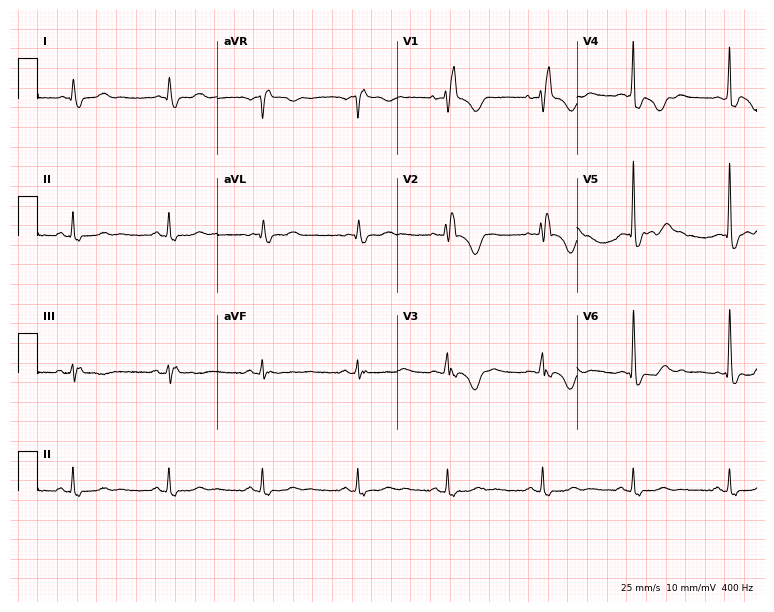
Resting 12-lead electrocardiogram (7.3-second recording at 400 Hz). Patient: a 57-year-old woman. The tracing shows right bundle branch block (RBBB).